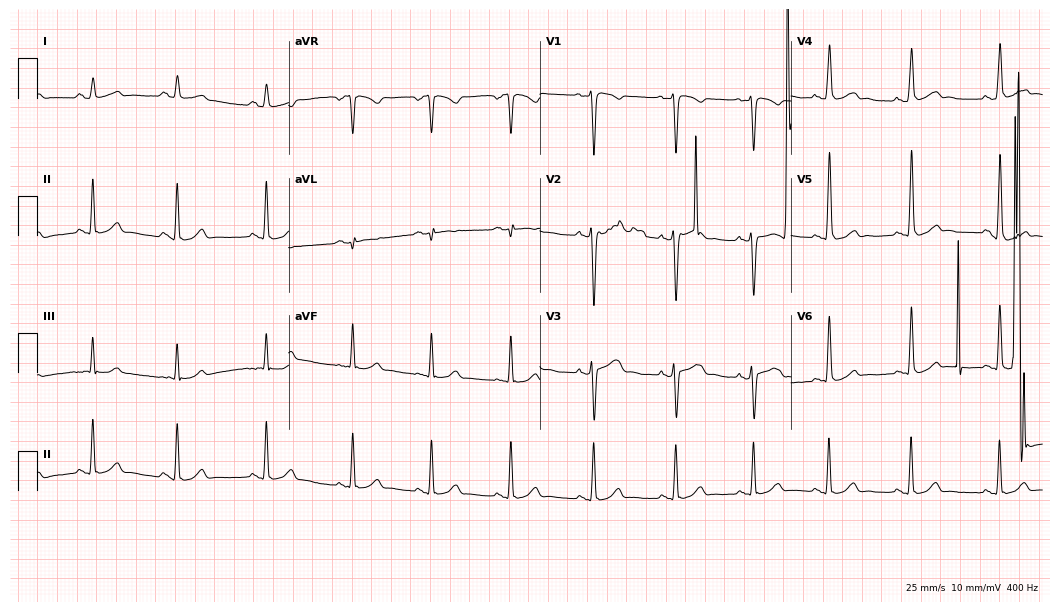
12-lead ECG from a 20-year-old male patient (10.2-second recording at 400 Hz). No first-degree AV block, right bundle branch block, left bundle branch block, sinus bradycardia, atrial fibrillation or sinus tachycardia recorded for this tracing.